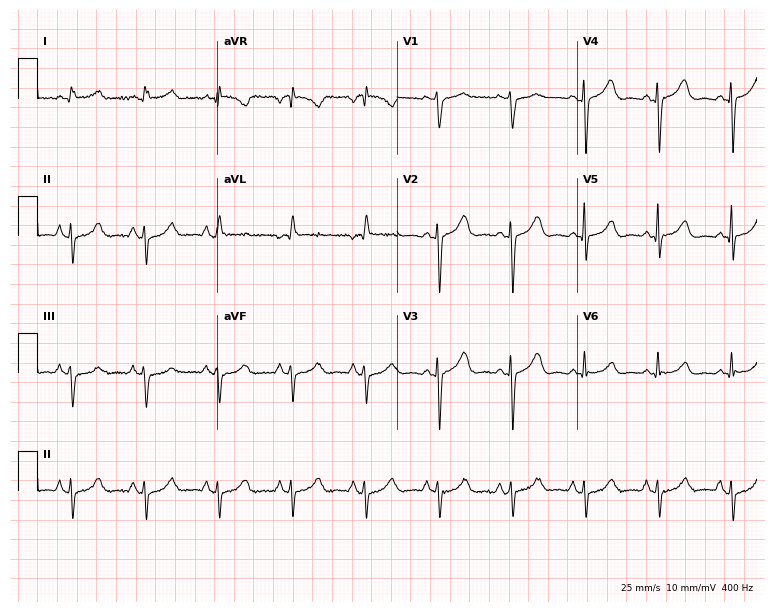
Resting 12-lead electrocardiogram. Patient: a male, 74 years old. None of these six findings is recorded: first-degree AV block, right bundle branch block, left bundle branch block, sinus bradycardia, atrial fibrillation, sinus tachycardia.